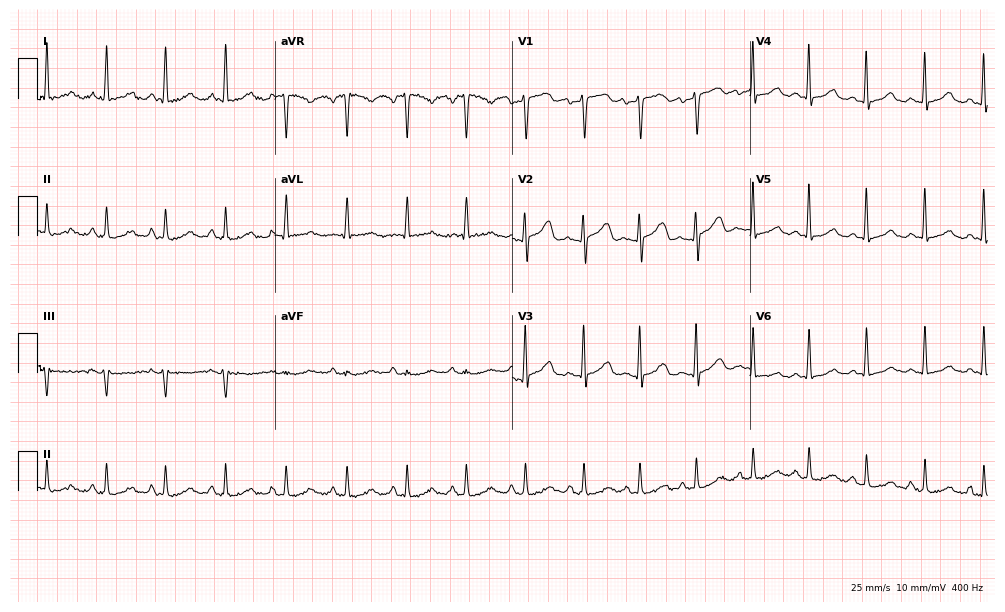
Standard 12-lead ECG recorded from a 47-year-old female patient. The tracing shows sinus tachycardia (a sinus rate of 100 beats per minute or more).